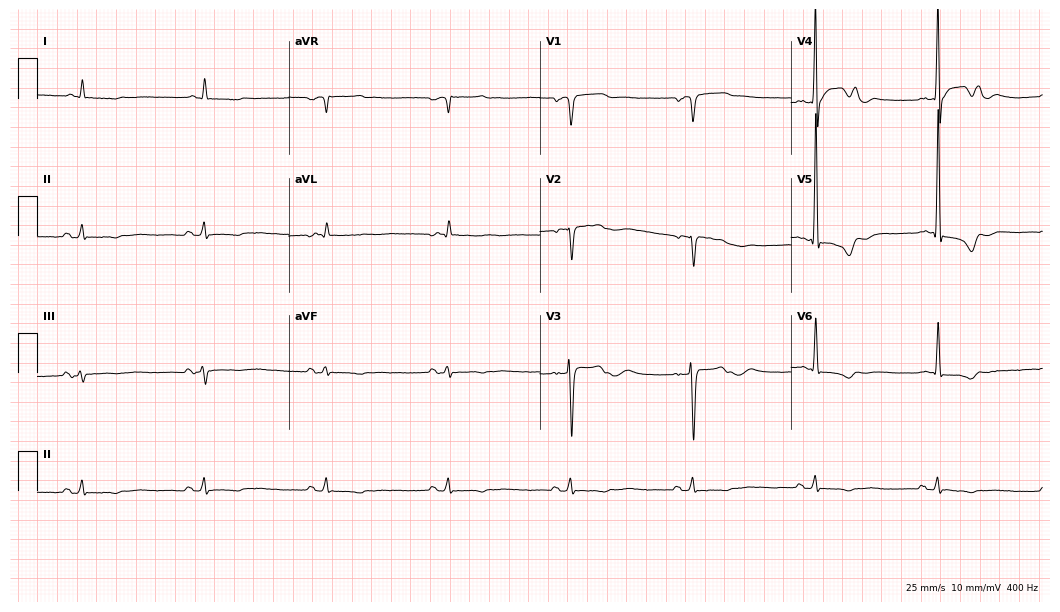
Electrocardiogram (10.2-second recording at 400 Hz), a man, 84 years old. Interpretation includes sinus bradycardia (a sinus rate of 50 beats per minute or less).